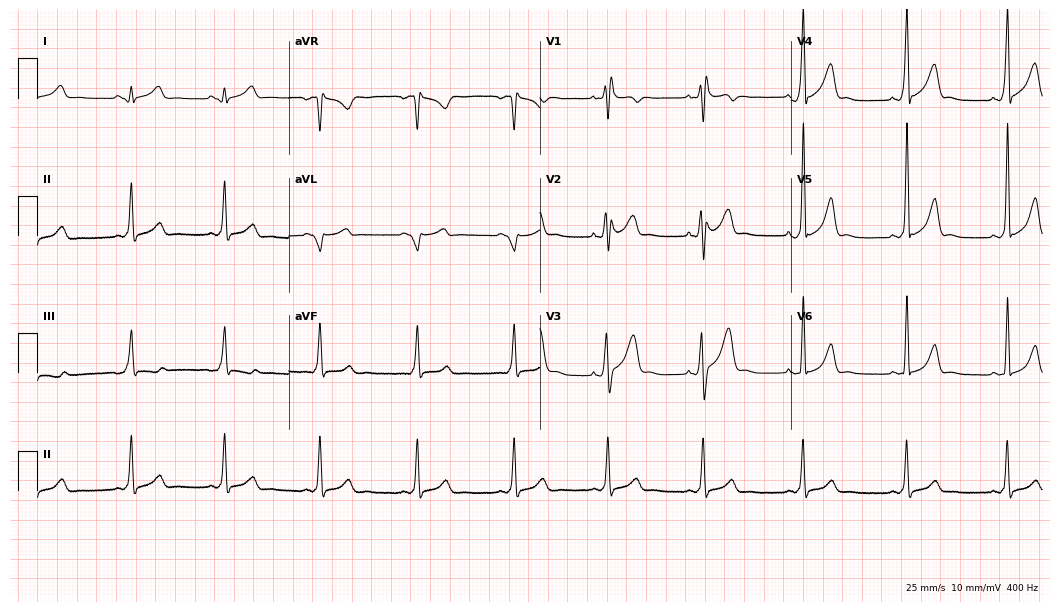
Electrocardiogram, a man, 29 years old. Interpretation includes right bundle branch block.